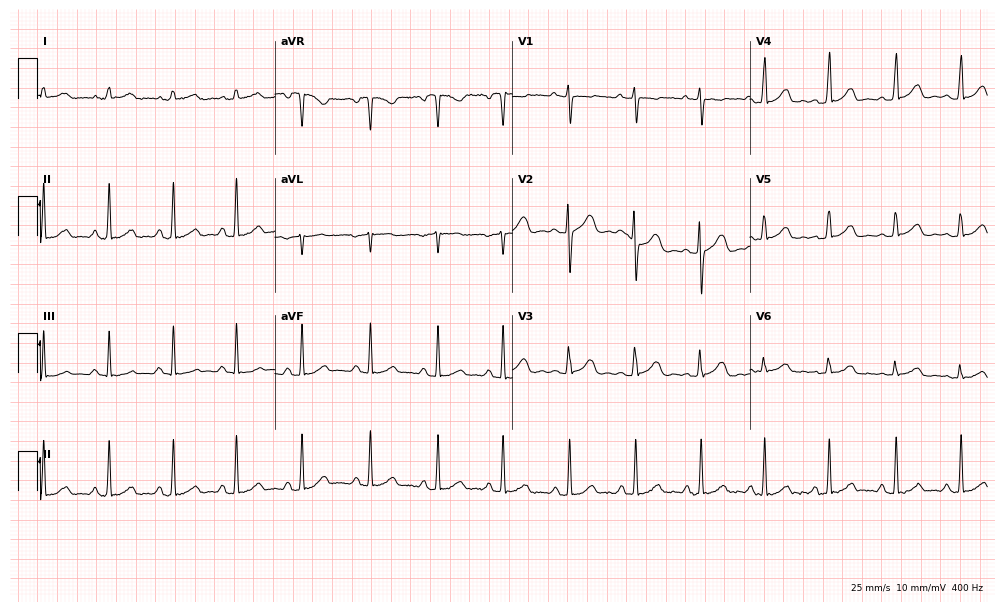
Standard 12-lead ECG recorded from a woman, 18 years old. Read as a normal ECG.